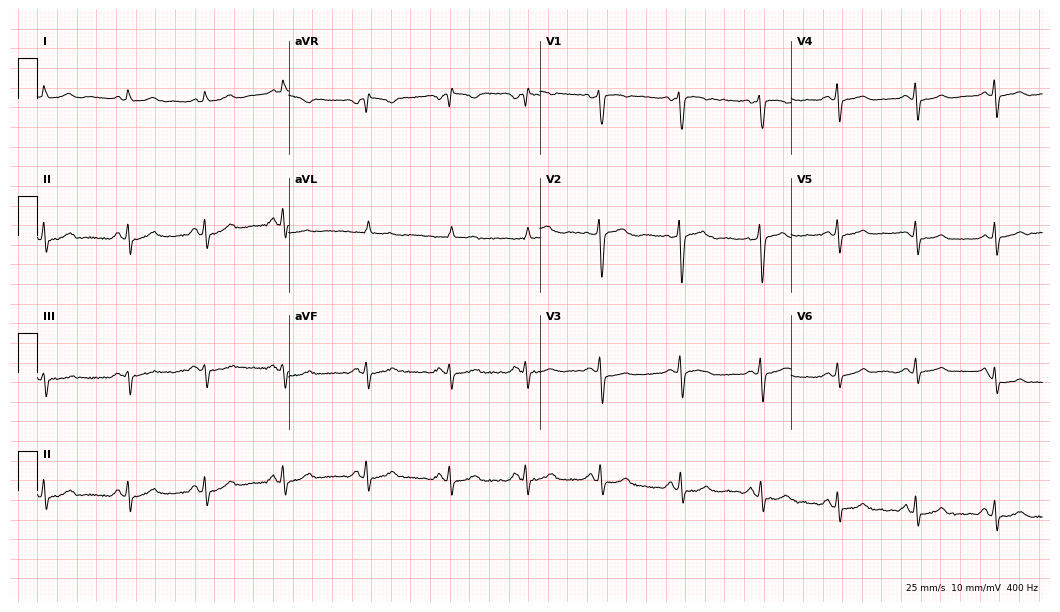
12-lead ECG from a 32-year-old female. Recorded interpretation: within normal limits.